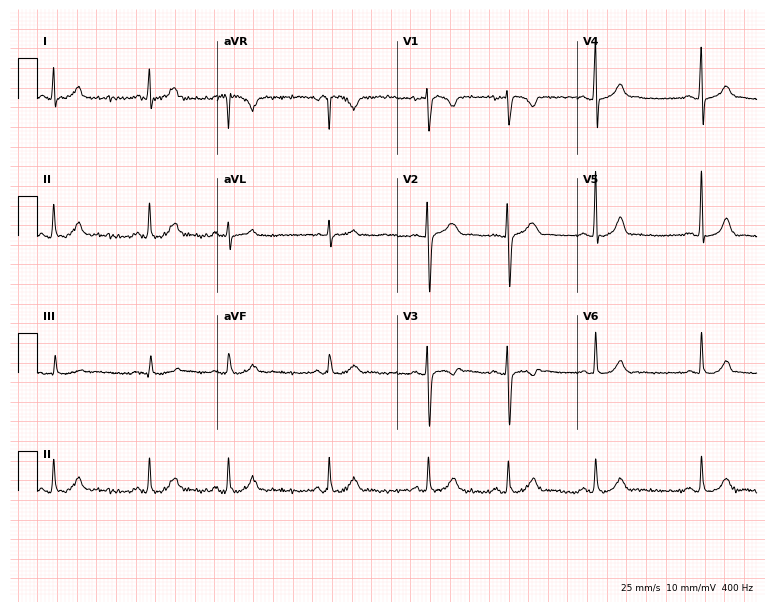
Resting 12-lead electrocardiogram (7.3-second recording at 400 Hz). Patient: a female, 21 years old. Read as a normal ECG.